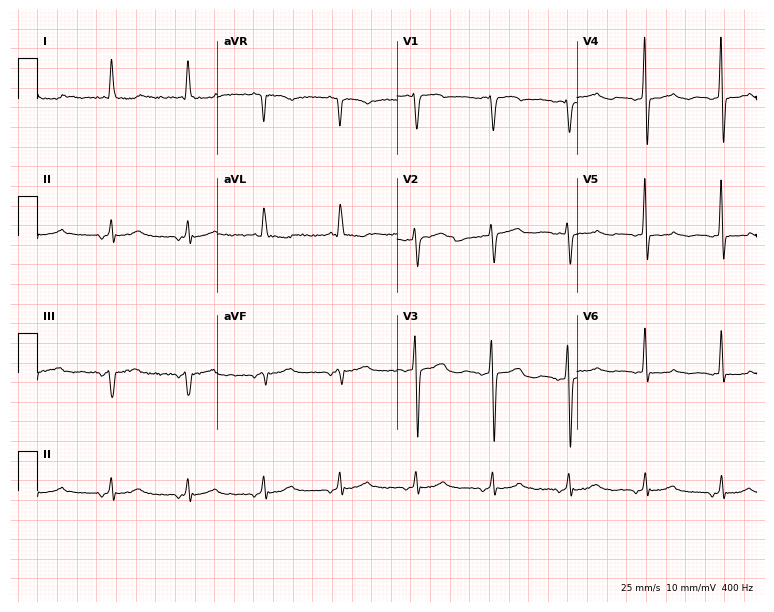
Resting 12-lead electrocardiogram. Patient: an 80-year-old woman. None of these six findings is recorded: first-degree AV block, right bundle branch block, left bundle branch block, sinus bradycardia, atrial fibrillation, sinus tachycardia.